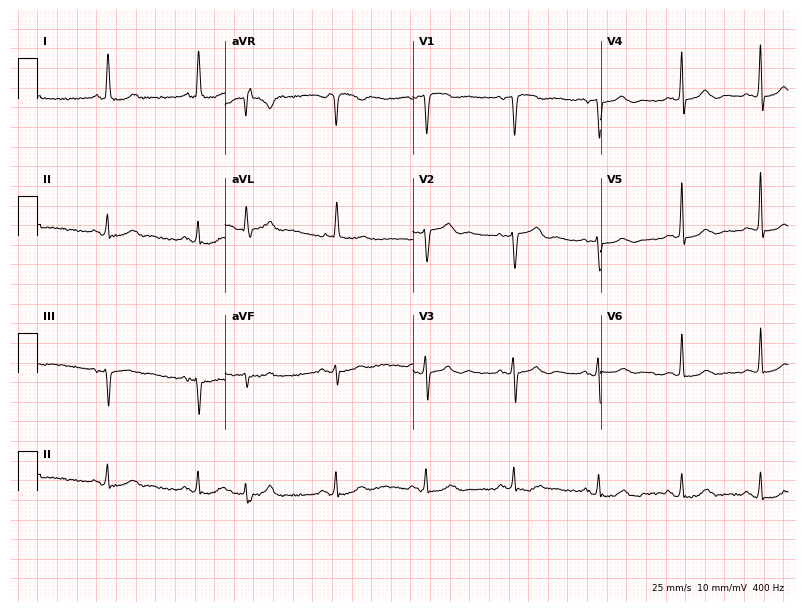
Electrocardiogram, an 81-year-old female. Of the six screened findings (first-degree AV block, right bundle branch block, left bundle branch block, sinus bradycardia, atrial fibrillation, sinus tachycardia), none is recorded. Other findings, if any, are not listed.